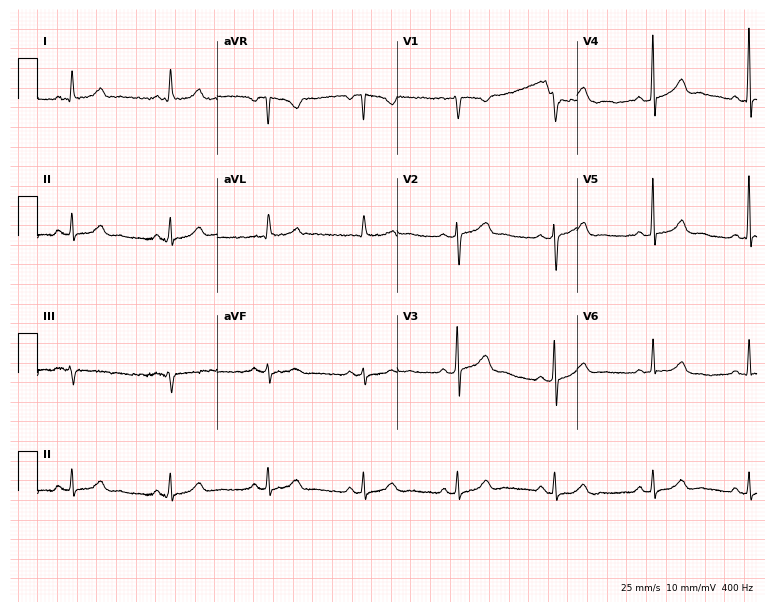
Electrocardiogram (7.3-second recording at 400 Hz), a male, 51 years old. Overall reading on record: normal ECG.